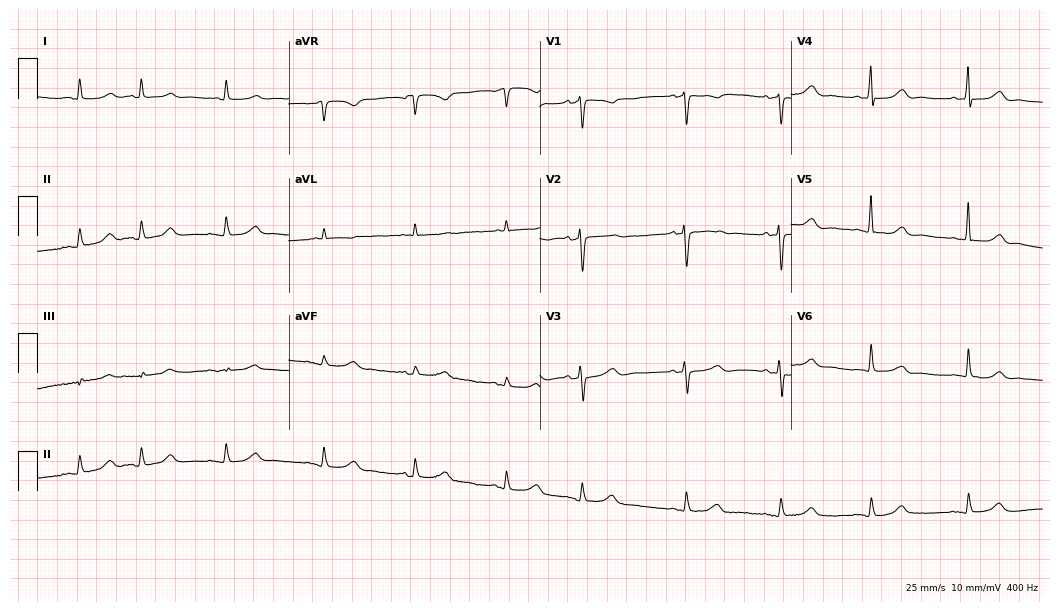
12-lead ECG from a female patient, 78 years old (10.2-second recording at 400 Hz). No first-degree AV block, right bundle branch block (RBBB), left bundle branch block (LBBB), sinus bradycardia, atrial fibrillation (AF) or sinus tachycardia recorded for this tracing. Other findings, if any, are not listed.